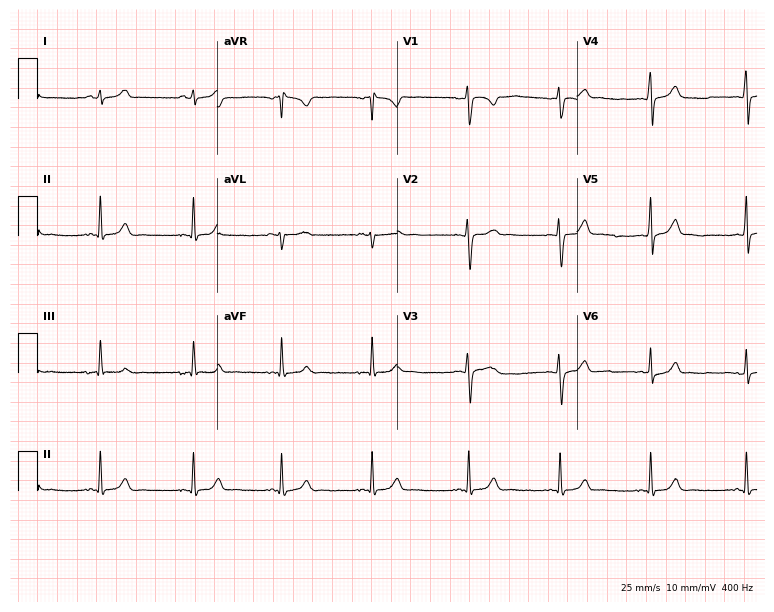
12-lead ECG from a 17-year-old female patient. No first-degree AV block, right bundle branch block, left bundle branch block, sinus bradycardia, atrial fibrillation or sinus tachycardia recorded for this tracing. Other findings, if any, are not listed.